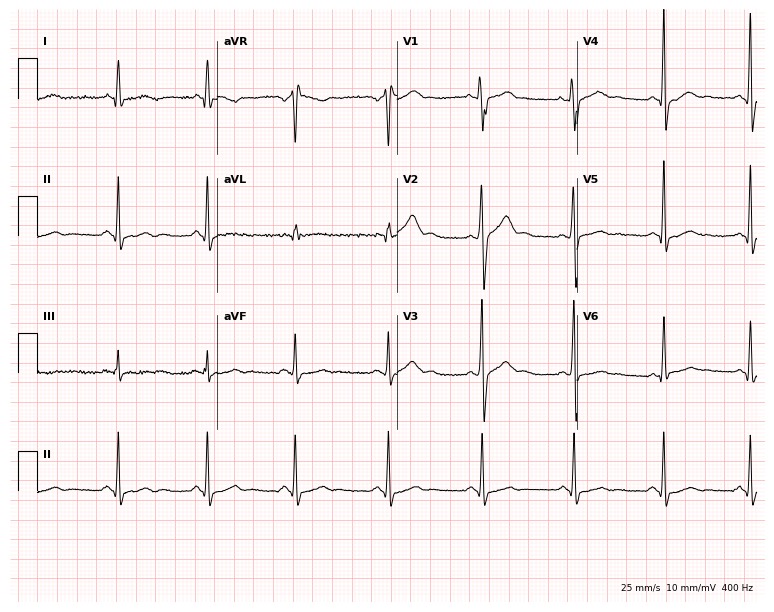
Electrocardiogram, a male patient, 19 years old. Of the six screened findings (first-degree AV block, right bundle branch block, left bundle branch block, sinus bradycardia, atrial fibrillation, sinus tachycardia), none is recorded.